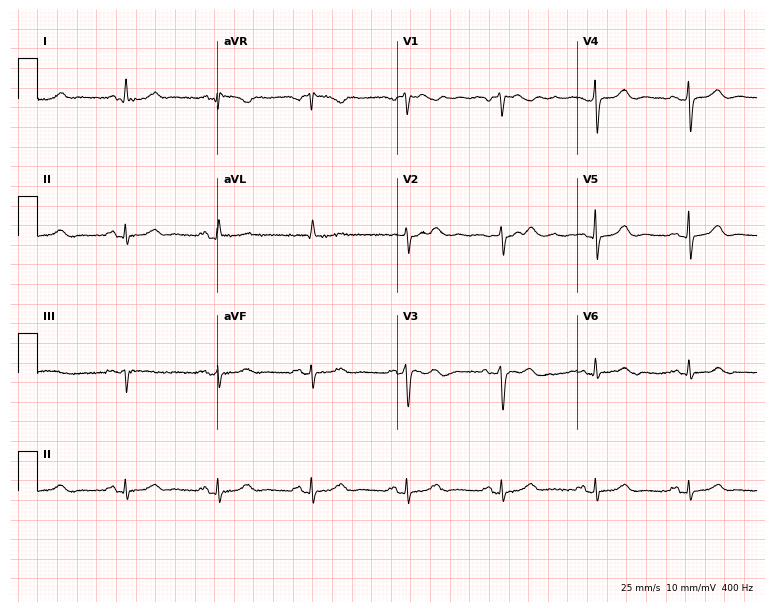
Standard 12-lead ECG recorded from an 82-year-old female patient. None of these six findings is recorded: first-degree AV block, right bundle branch block, left bundle branch block, sinus bradycardia, atrial fibrillation, sinus tachycardia.